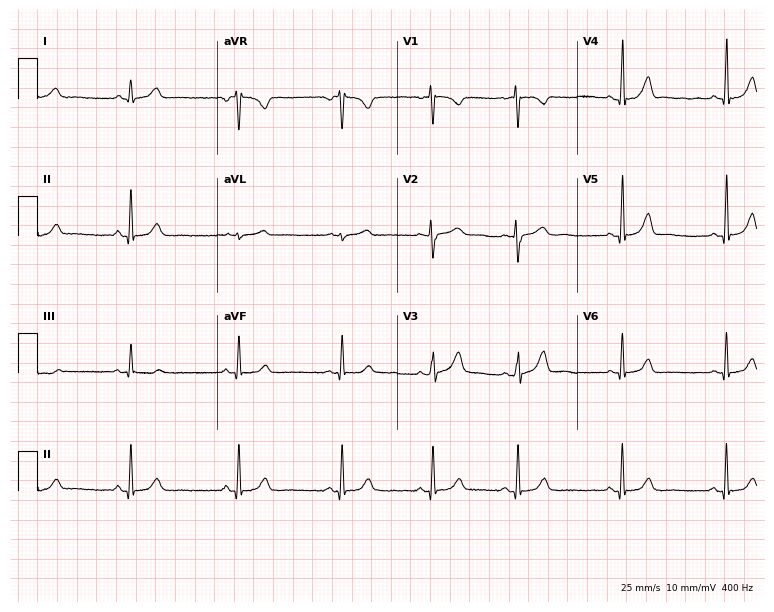
ECG — a woman, 31 years old. Labelled as a normal ECG.